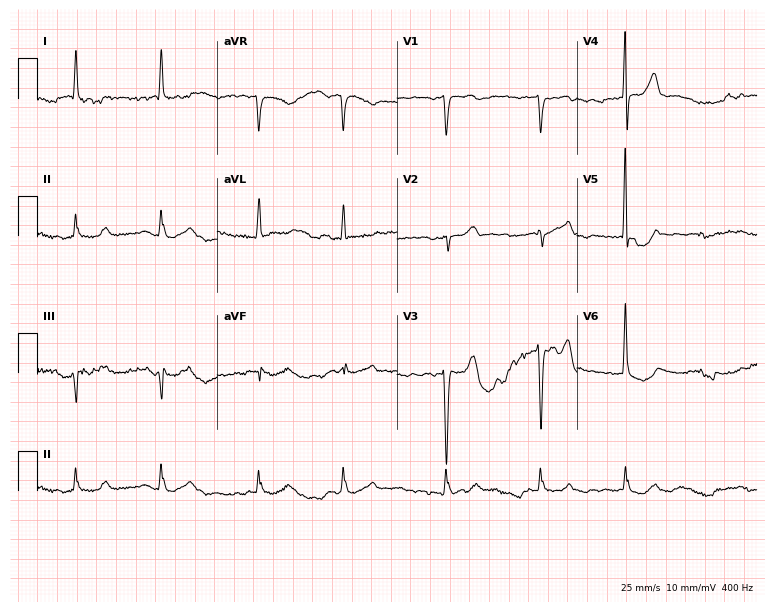
Resting 12-lead electrocardiogram (7.3-second recording at 400 Hz). Patient: an 80-year-old man. The tracing shows atrial fibrillation.